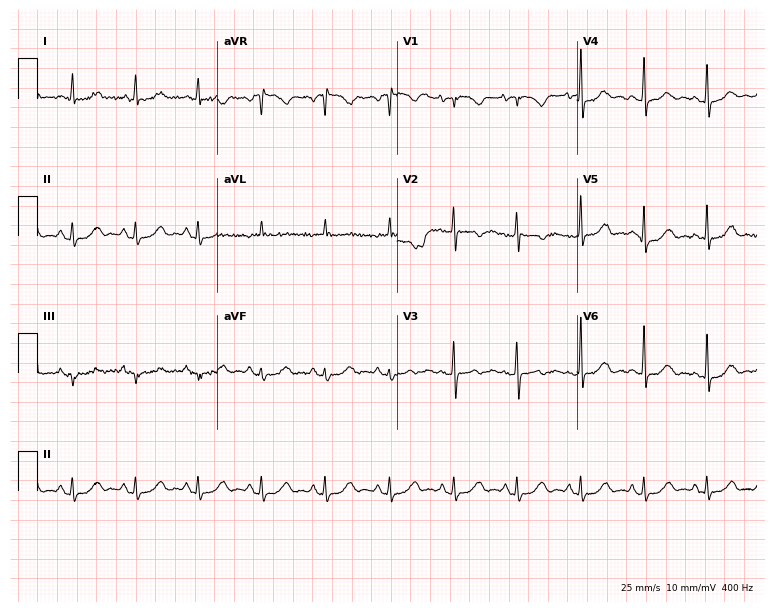
ECG (7.3-second recording at 400 Hz) — a 66-year-old female. Labelled as a normal ECG.